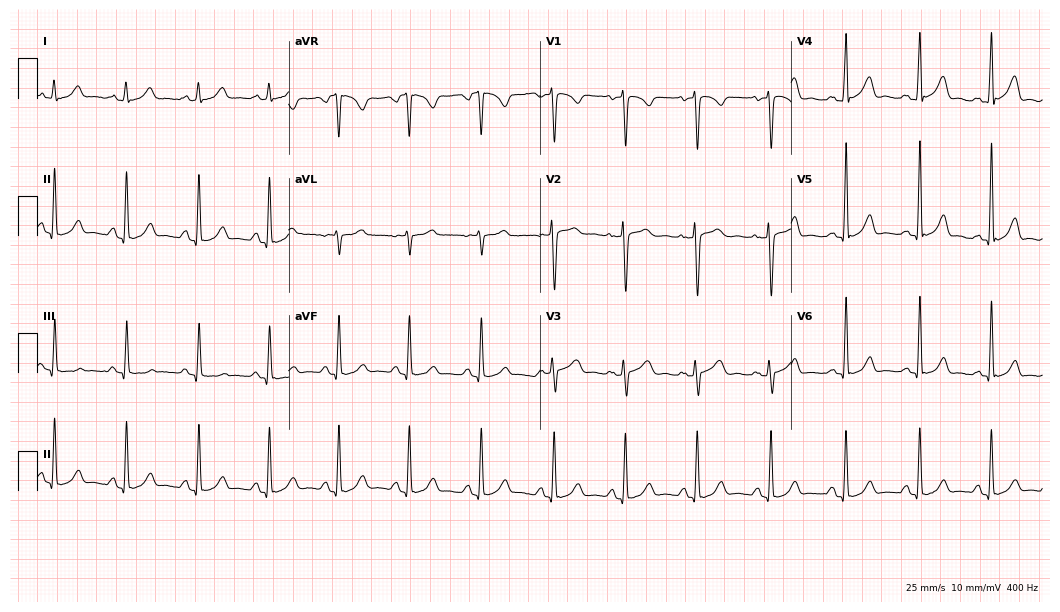
12-lead ECG from a female, 34 years old. Labelled as a normal ECG.